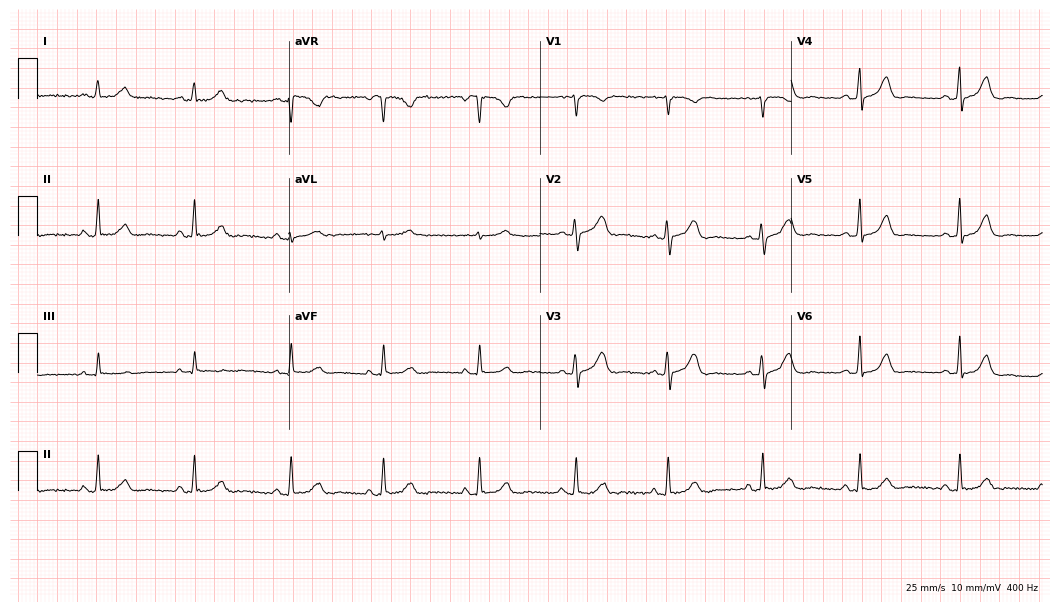
ECG (10.2-second recording at 400 Hz) — a 56-year-old female patient. Labelled as a normal ECG.